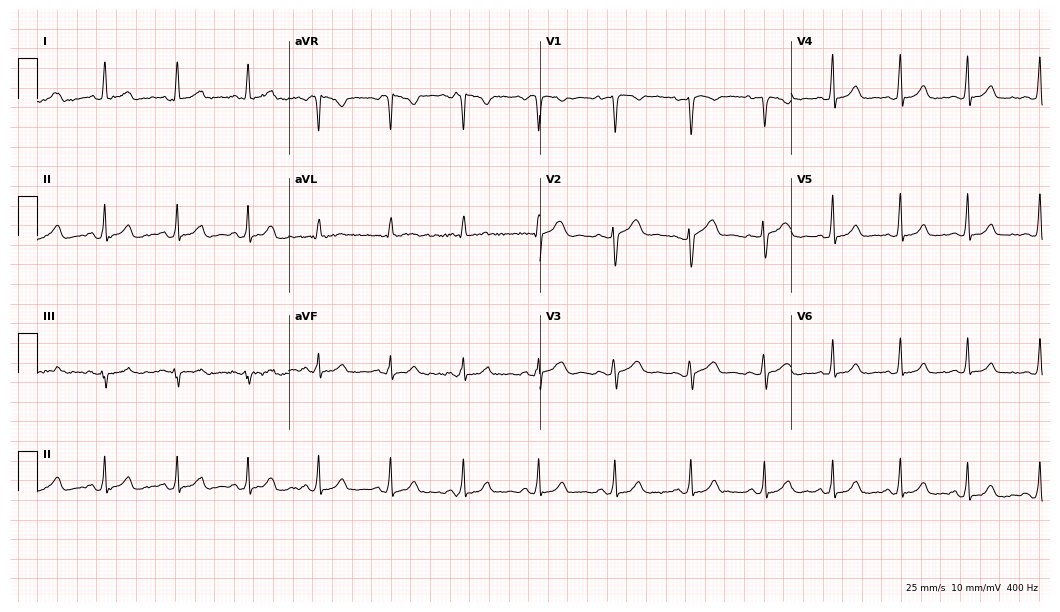
Standard 12-lead ECG recorded from a 25-year-old female (10.2-second recording at 400 Hz). Read as a normal ECG.